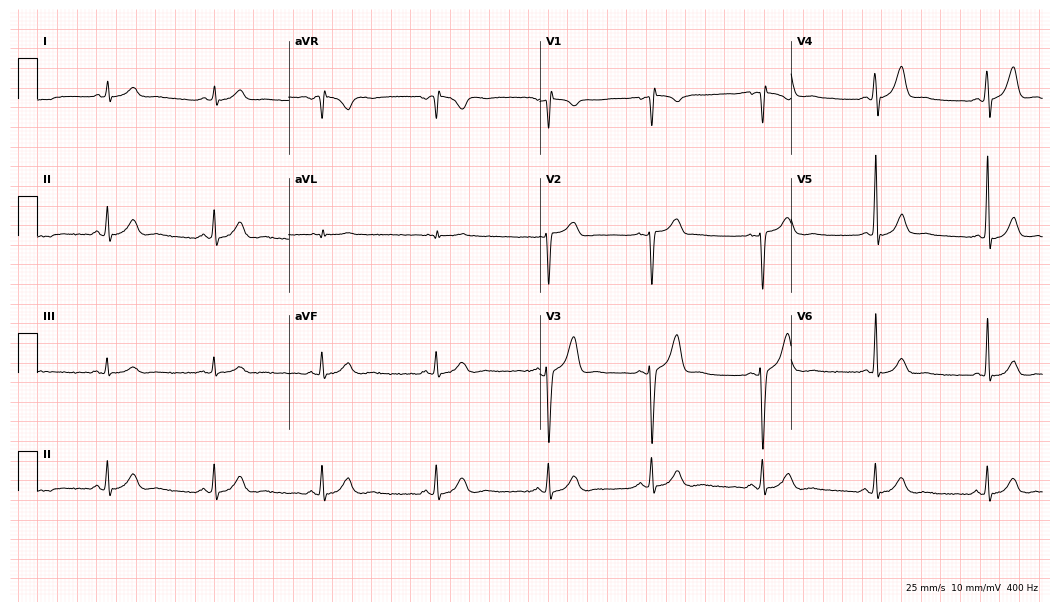
Resting 12-lead electrocardiogram (10.2-second recording at 400 Hz). Patient: a 40-year-old man. Read as a normal ECG.